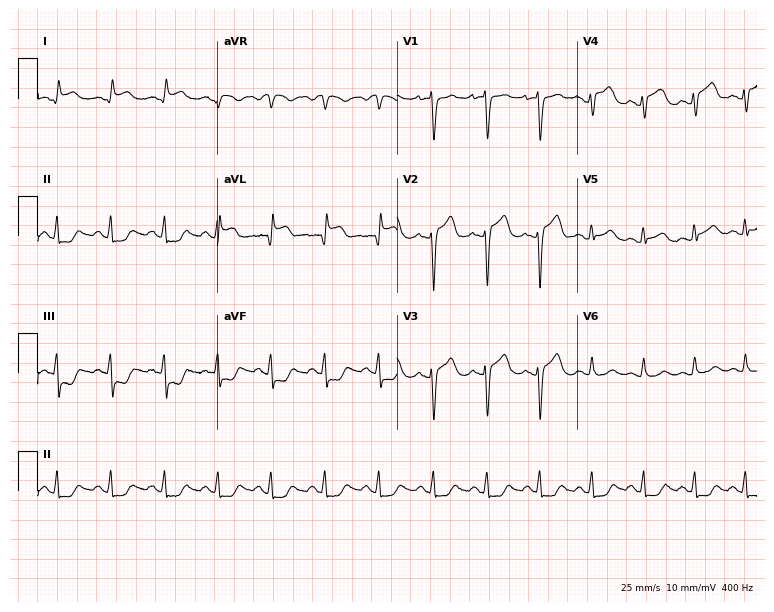
Electrocardiogram, a 41-year-old woman. Interpretation includes sinus tachycardia (a sinus rate of 100 beats per minute or more).